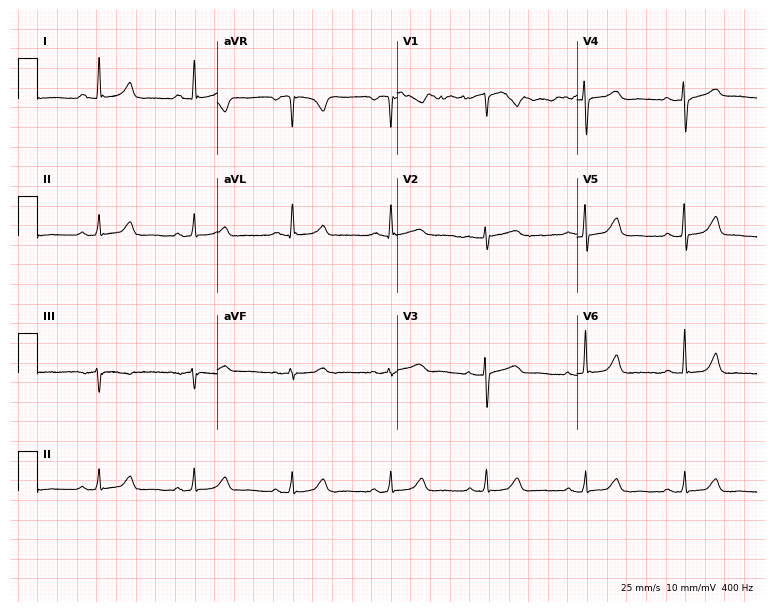
12-lead ECG from a 54-year-old woman (7.3-second recording at 400 Hz). Recorded interpretation: within normal limits.